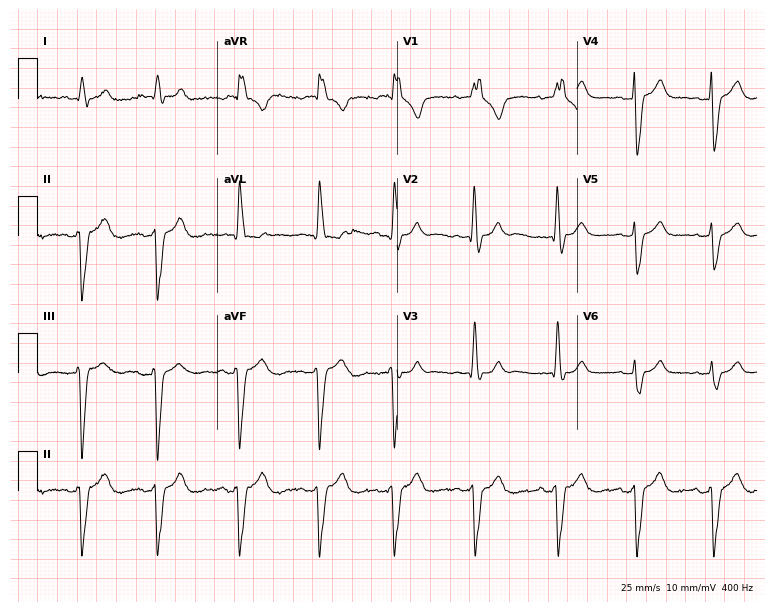
Electrocardiogram (7.3-second recording at 400 Hz), a 46-year-old female patient. Interpretation includes right bundle branch block.